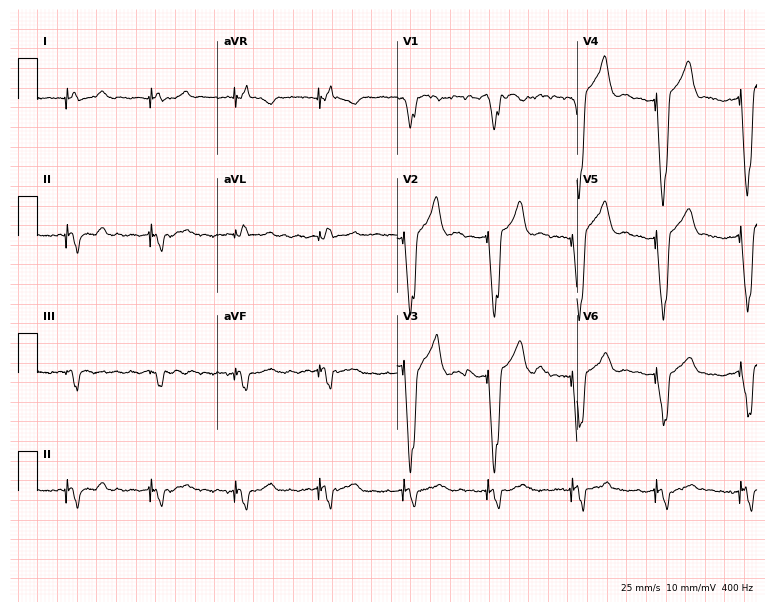
Standard 12-lead ECG recorded from a male patient, 61 years old (7.3-second recording at 400 Hz). None of these six findings is recorded: first-degree AV block, right bundle branch block (RBBB), left bundle branch block (LBBB), sinus bradycardia, atrial fibrillation (AF), sinus tachycardia. Findings outside these six are not listed.